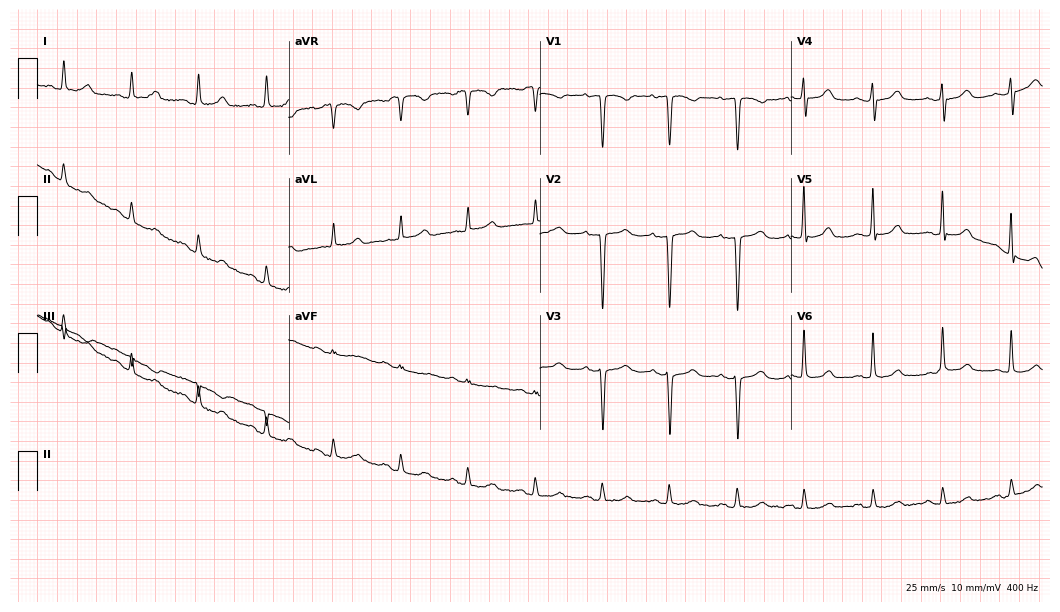
12-lead ECG (10.2-second recording at 400 Hz) from a female, 49 years old. Screened for six findings — first-degree AV block, right bundle branch block, left bundle branch block, sinus bradycardia, atrial fibrillation, sinus tachycardia — none is recorded.